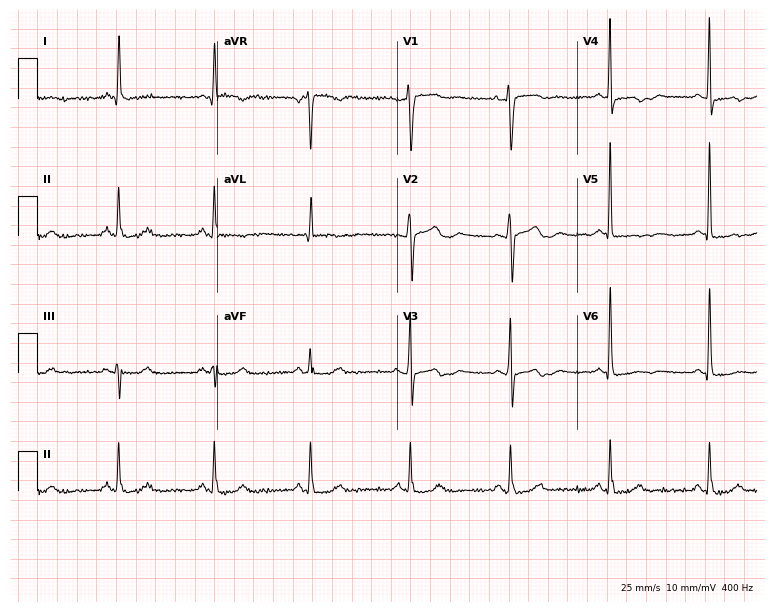
Resting 12-lead electrocardiogram. Patient: a female, 56 years old. None of these six findings is recorded: first-degree AV block, right bundle branch block, left bundle branch block, sinus bradycardia, atrial fibrillation, sinus tachycardia.